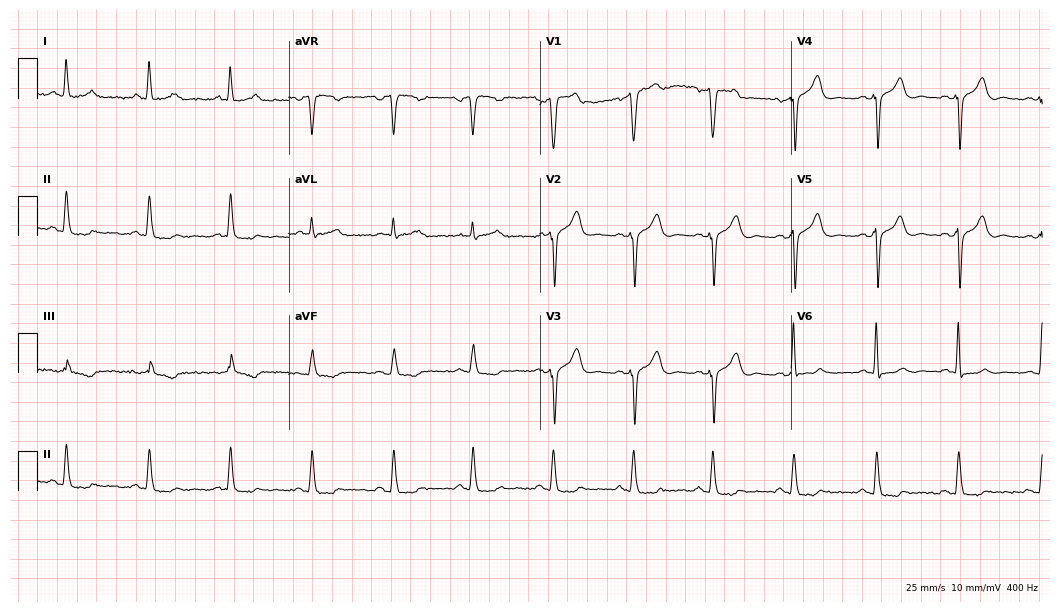
Electrocardiogram, a 46-year-old male. Of the six screened findings (first-degree AV block, right bundle branch block, left bundle branch block, sinus bradycardia, atrial fibrillation, sinus tachycardia), none is recorded.